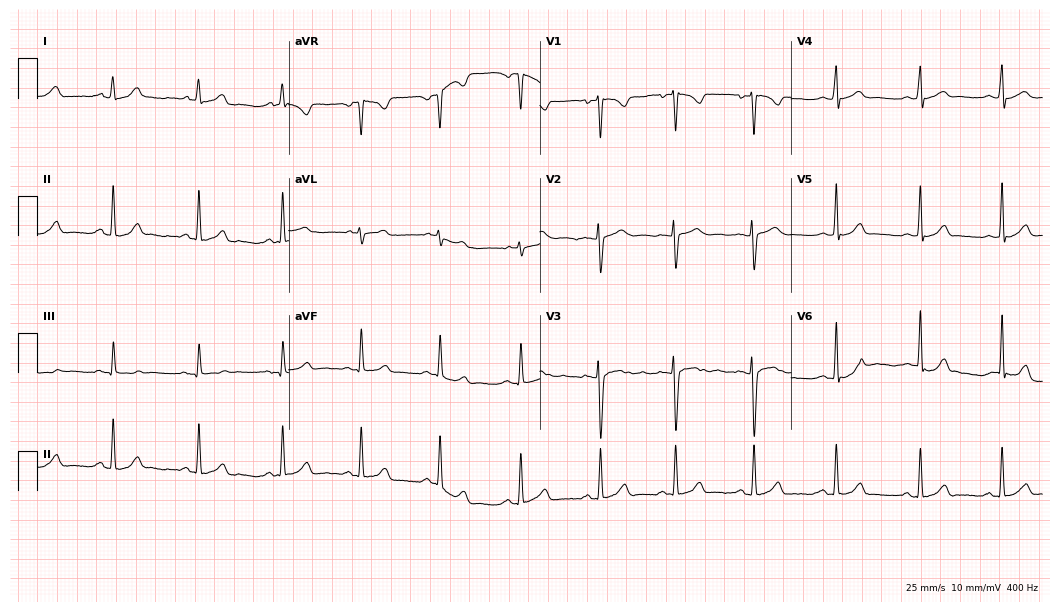
Electrocardiogram, a 20-year-old female patient. Overall reading on record: normal ECG.